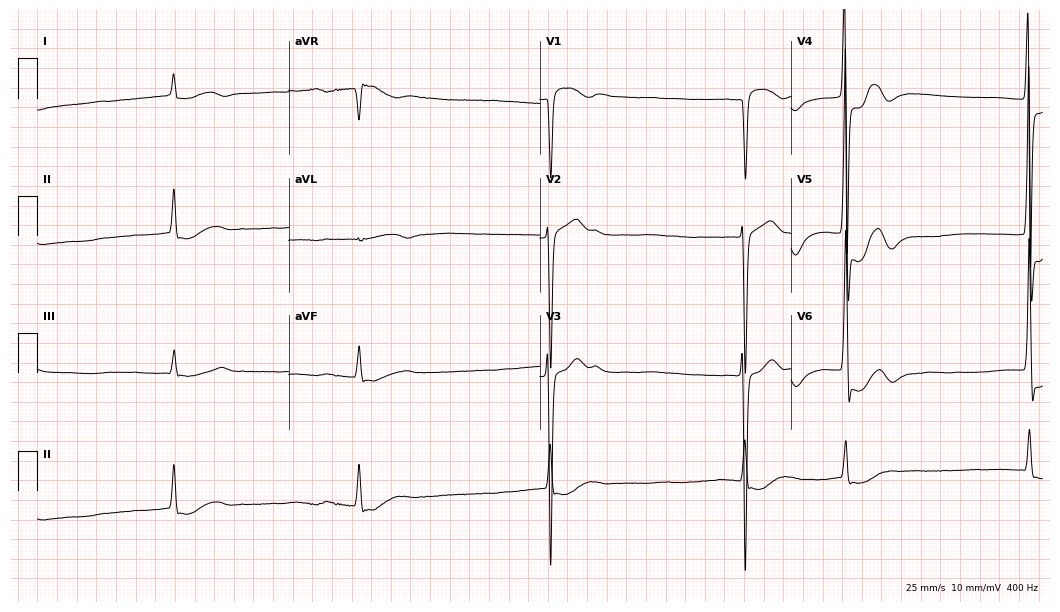
12-lead ECG from an 83-year-old male patient. Screened for six findings — first-degree AV block, right bundle branch block, left bundle branch block, sinus bradycardia, atrial fibrillation, sinus tachycardia — none is recorded. Other findings, if any, are not listed.